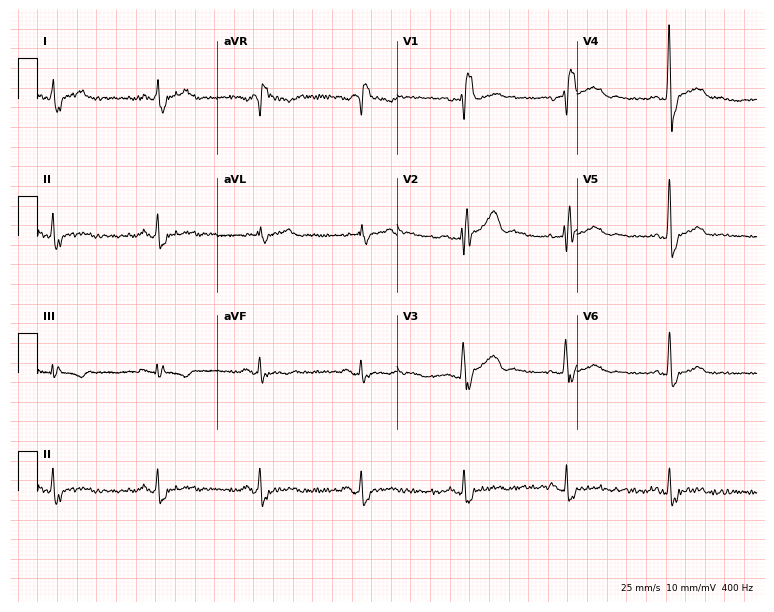
Resting 12-lead electrocardiogram (7.3-second recording at 400 Hz). Patient: a 46-year-old man. The tracing shows right bundle branch block.